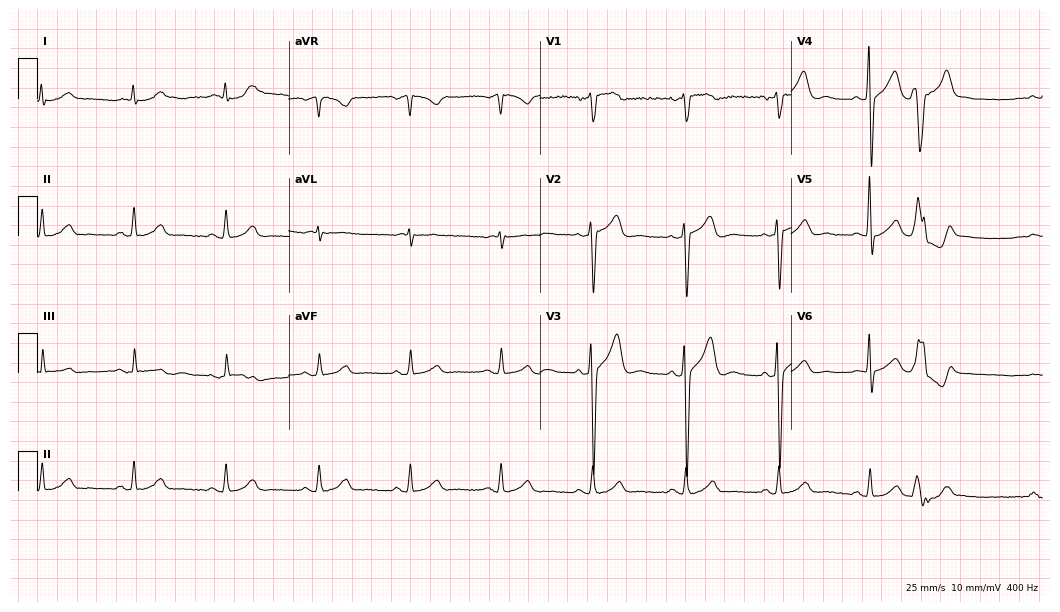
Electrocardiogram, a 77-year-old man. Of the six screened findings (first-degree AV block, right bundle branch block (RBBB), left bundle branch block (LBBB), sinus bradycardia, atrial fibrillation (AF), sinus tachycardia), none is recorded. Only these six findings were labelled.